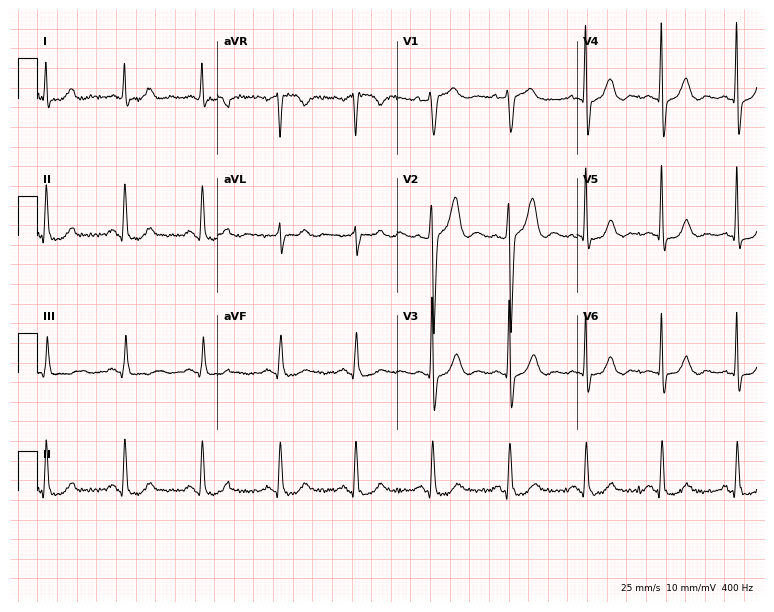
Standard 12-lead ECG recorded from a 37-year-old man (7.3-second recording at 400 Hz). Read as a normal ECG.